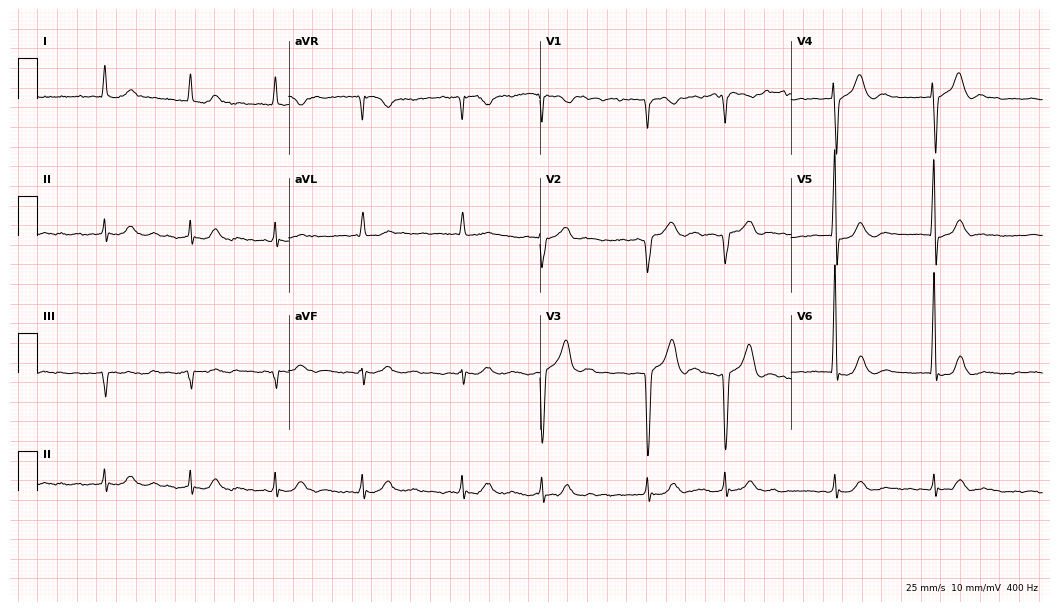
ECG — an 85-year-old man. Findings include atrial fibrillation (AF).